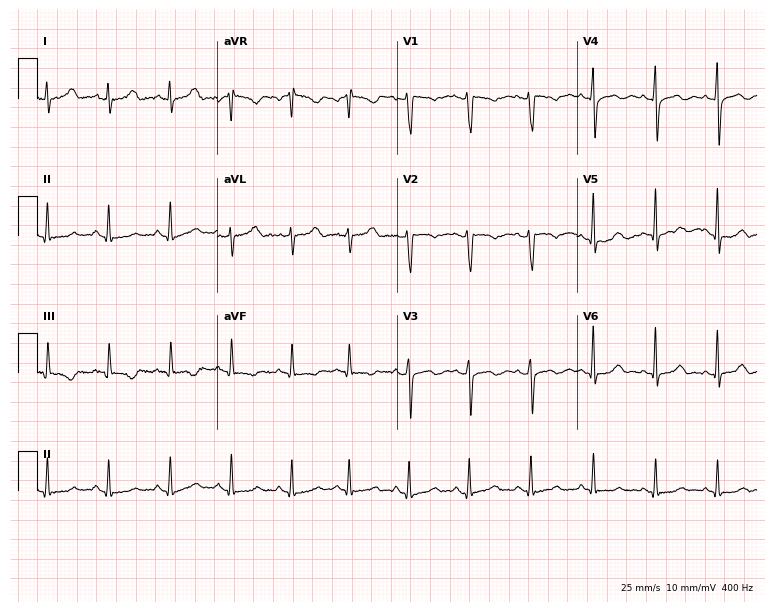
Resting 12-lead electrocardiogram (7.3-second recording at 400 Hz). Patient: a 32-year-old woman. None of these six findings is recorded: first-degree AV block, right bundle branch block (RBBB), left bundle branch block (LBBB), sinus bradycardia, atrial fibrillation (AF), sinus tachycardia. Only these six findings were labelled.